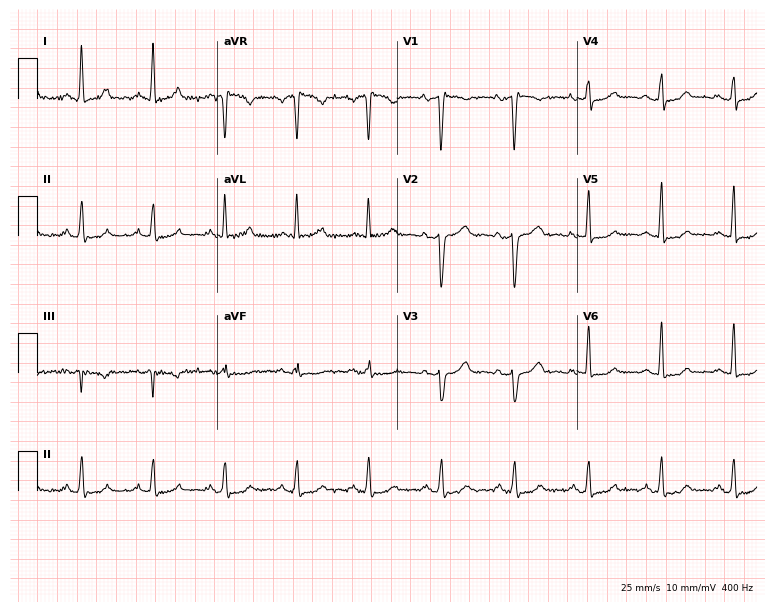
12-lead ECG from a female, 47 years old (7.3-second recording at 400 Hz). No first-degree AV block, right bundle branch block, left bundle branch block, sinus bradycardia, atrial fibrillation or sinus tachycardia recorded for this tracing.